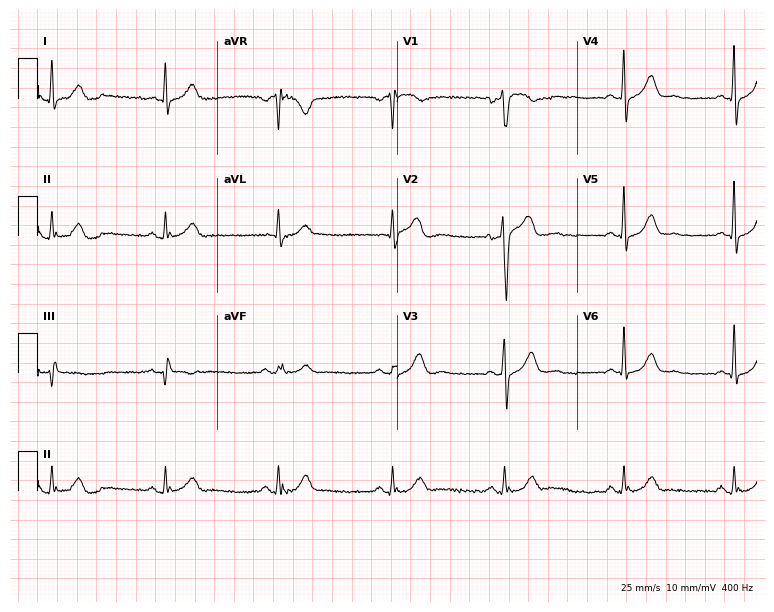
Electrocardiogram, a 49-year-old male patient. Overall reading on record: normal ECG.